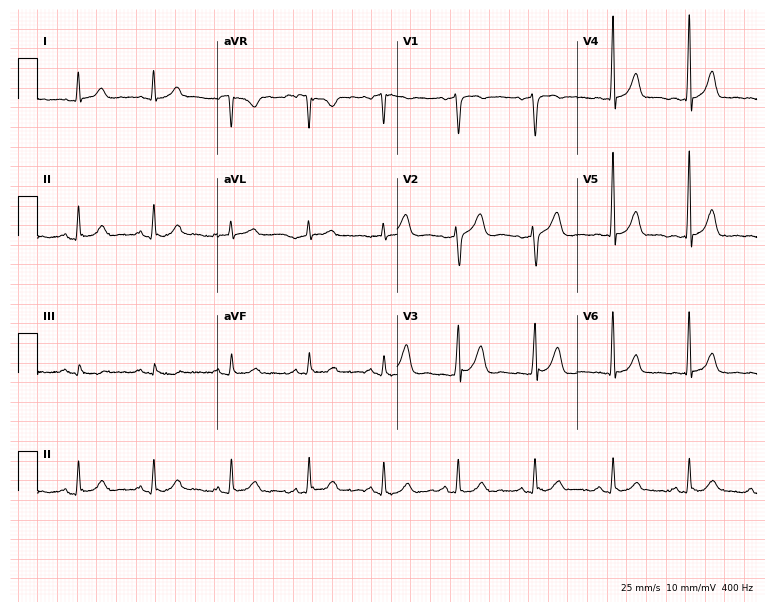
Electrocardiogram, a male, 41 years old. Overall reading on record: normal ECG.